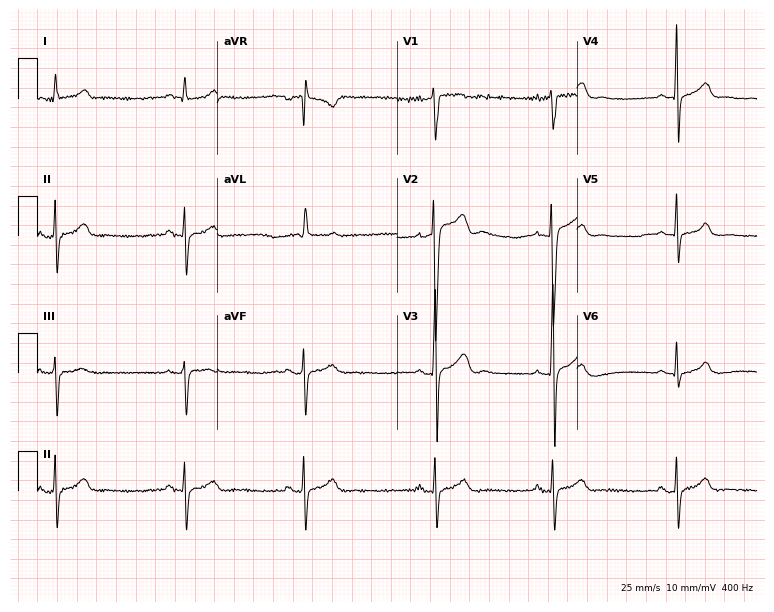
12-lead ECG from a male, 18 years old. Findings include sinus bradycardia (a sinus rate of 50 beats per minute or less).